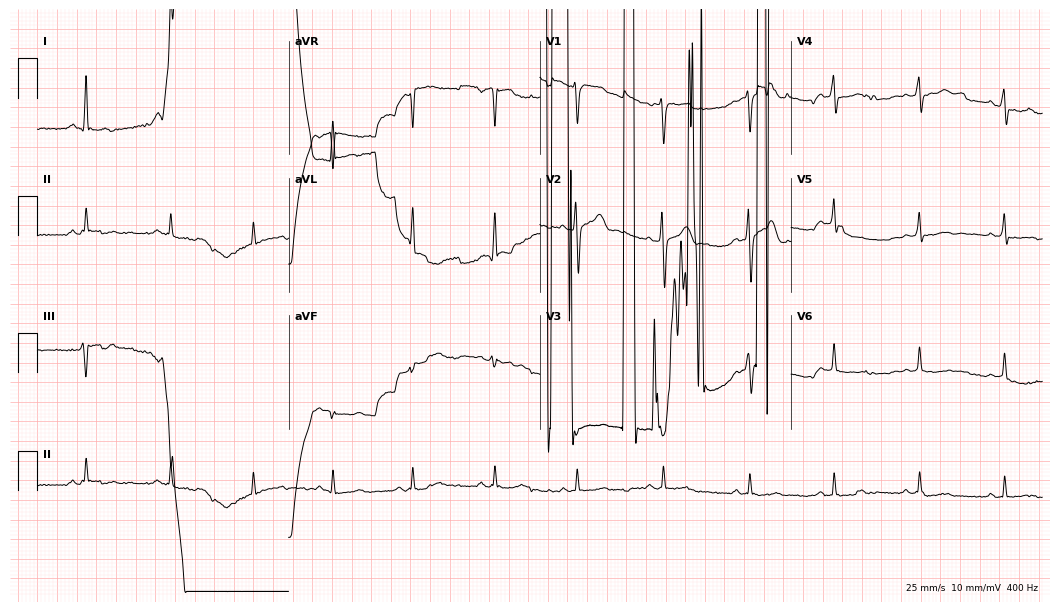
Standard 12-lead ECG recorded from a man, 46 years old (10.2-second recording at 400 Hz). None of these six findings is recorded: first-degree AV block, right bundle branch block (RBBB), left bundle branch block (LBBB), sinus bradycardia, atrial fibrillation (AF), sinus tachycardia. Other findings, if any, are not listed.